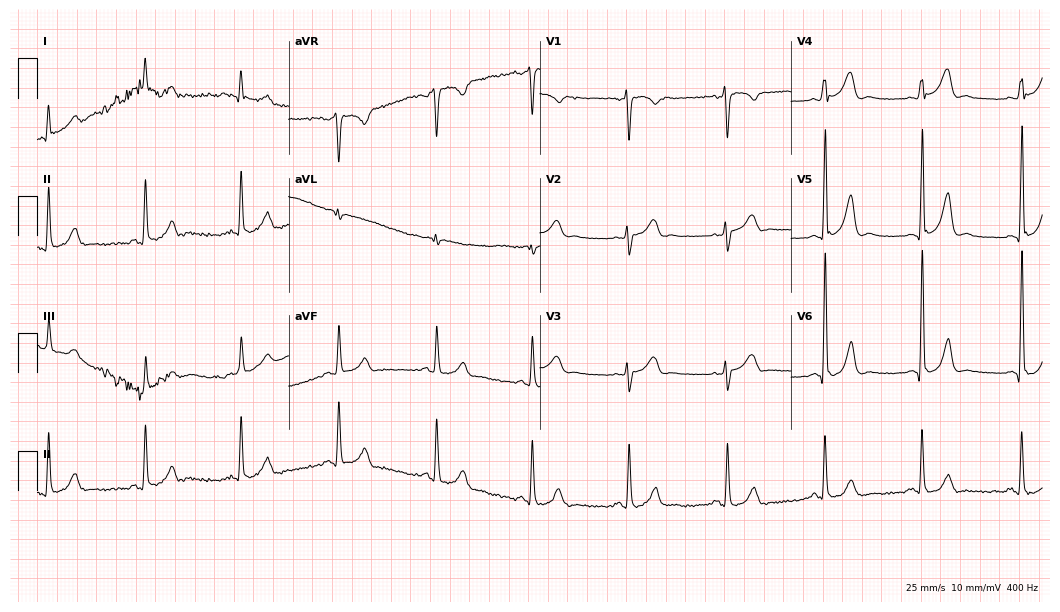
ECG — a 52-year-old male patient. Labelled as a normal ECG.